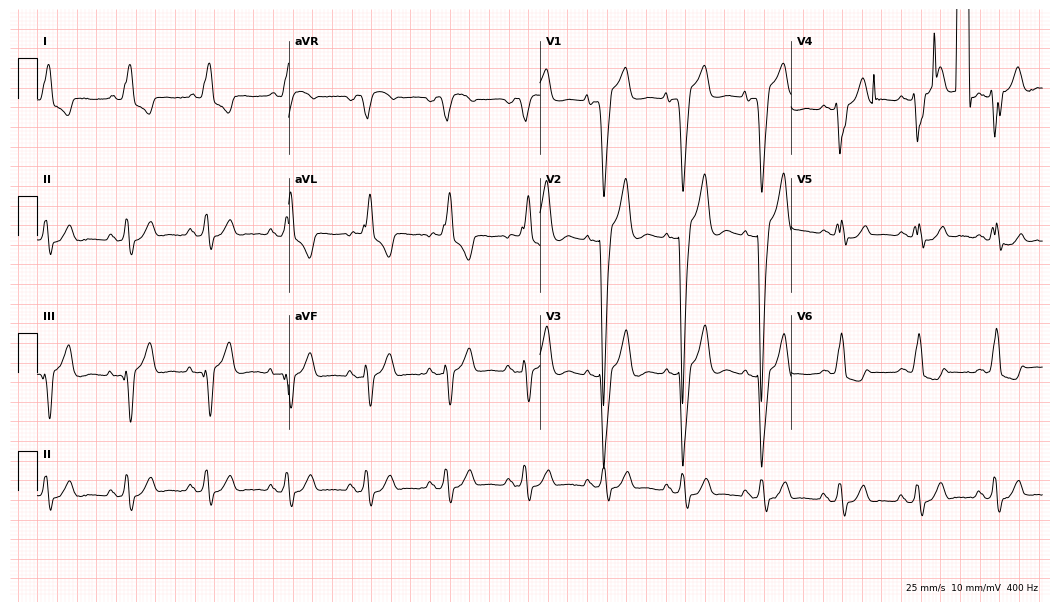
12-lead ECG from a female patient, 75 years old (10.2-second recording at 400 Hz). Shows left bundle branch block.